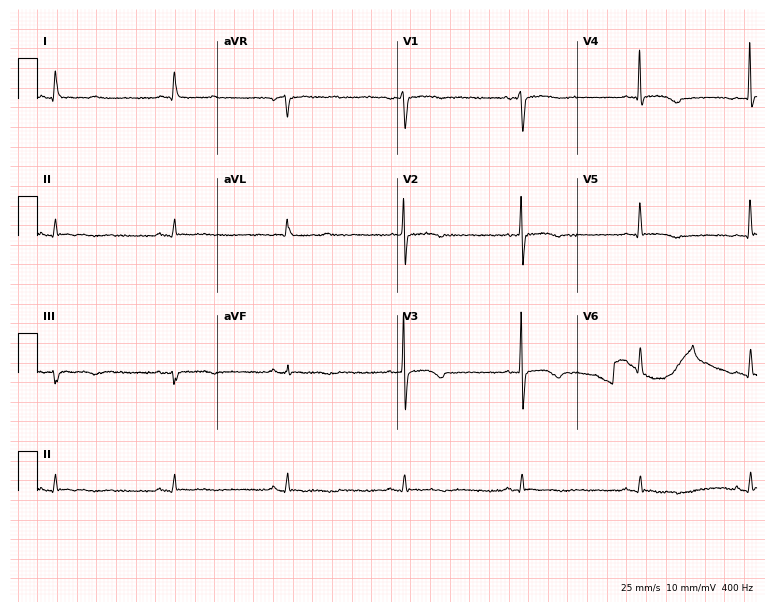
Electrocardiogram, a 64-year-old female. Overall reading on record: normal ECG.